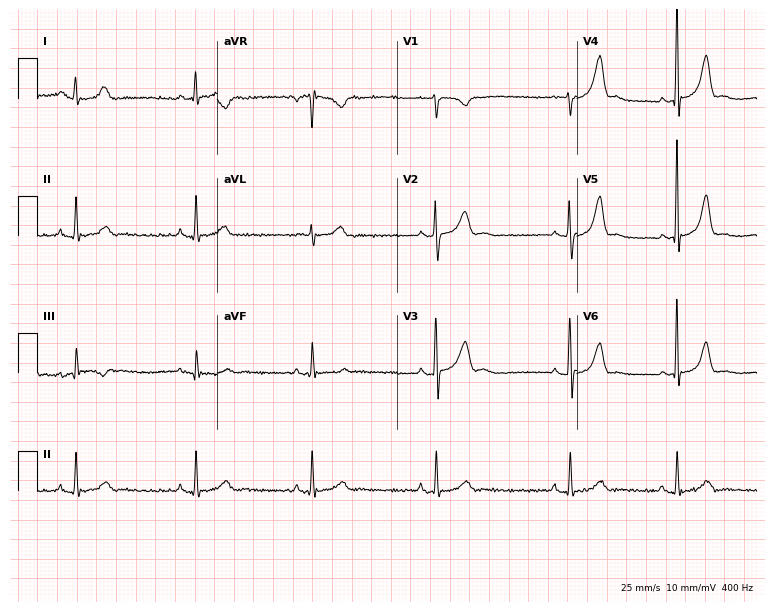
Electrocardiogram, a female patient, 32 years old. Overall reading on record: normal ECG.